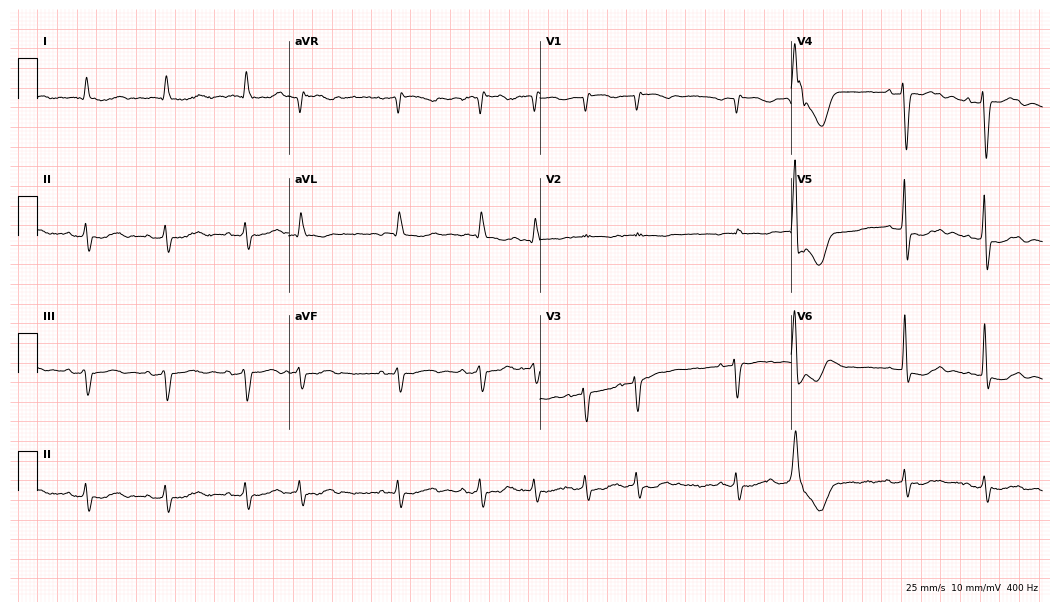
12-lead ECG from an 84-year-old female patient. Screened for six findings — first-degree AV block, right bundle branch block, left bundle branch block, sinus bradycardia, atrial fibrillation, sinus tachycardia — none is recorded. Other findings, if any, are not listed.